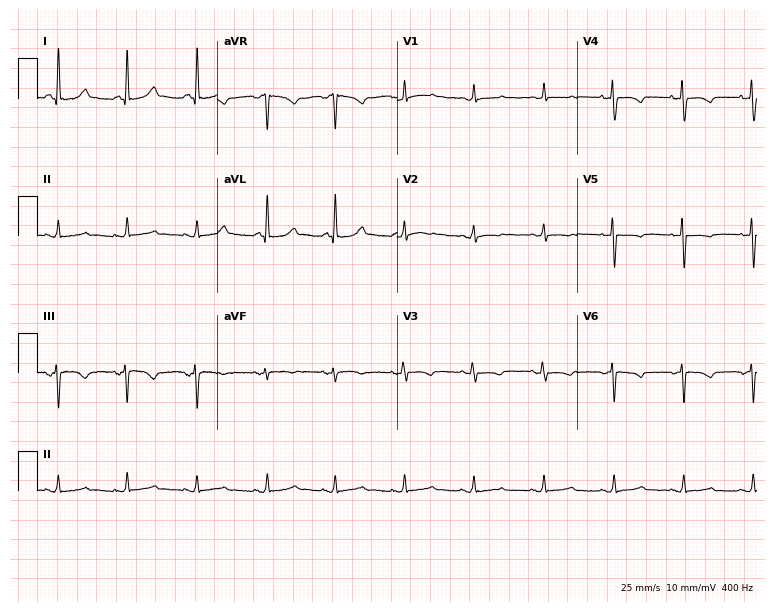
ECG (7.3-second recording at 400 Hz) — a woman, 26 years old. Screened for six findings — first-degree AV block, right bundle branch block (RBBB), left bundle branch block (LBBB), sinus bradycardia, atrial fibrillation (AF), sinus tachycardia — none is recorded.